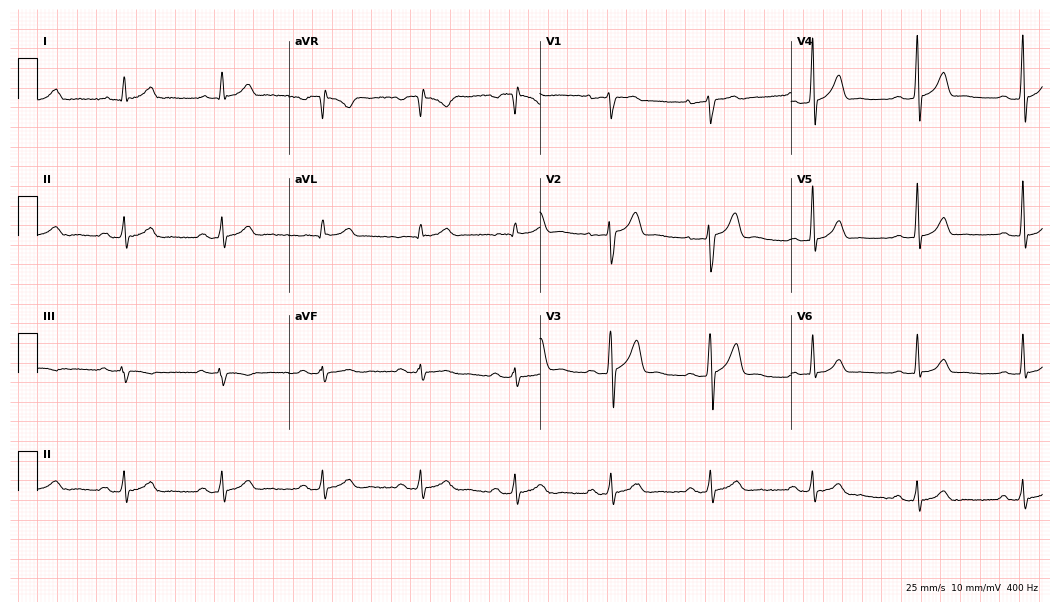
12-lead ECG from a 40-year-old male (10.2-second recording at 400 Hz). Recorded interpretation: within normal limits.